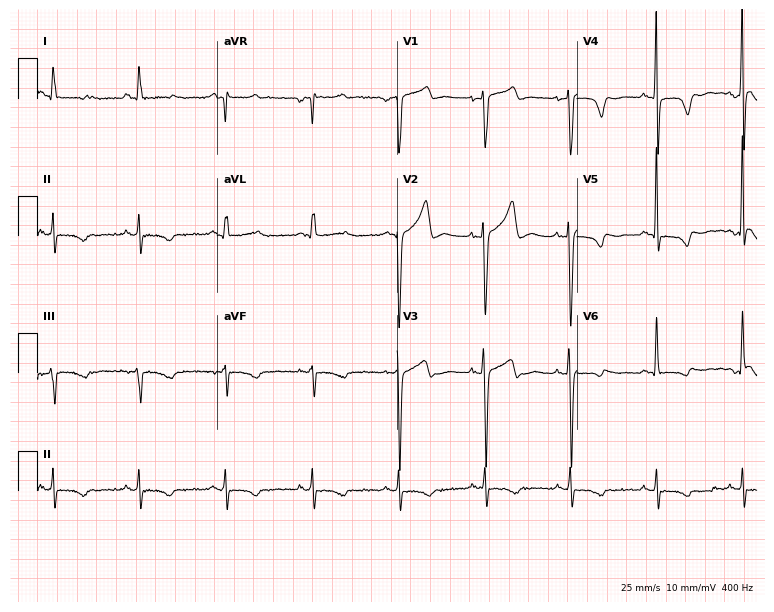
12-lead ECG (7.3-second recording at 400 Hz) from a male, 52 years old. Screened for six findings — first-degree AV block, right bundle branch block, left bundle branch block, sinus bradycardia, atrial fibrillation, sinus tachycardia — none is recorded. Findings outside these six are not listed.